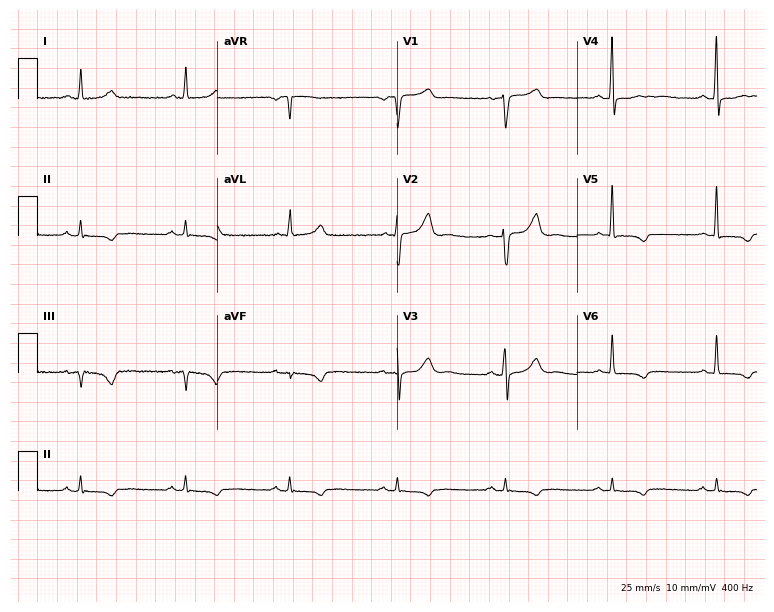
12-lead ECG from a man, 63 years old. No first-degree AV block, right bundle branch block (RBBB), left bundle branch block (LBBB), sinus bradycardia, atrial fibrillation (AF) or sinus tachycardia recorded for this tracing. Findings outside these six are not listed.